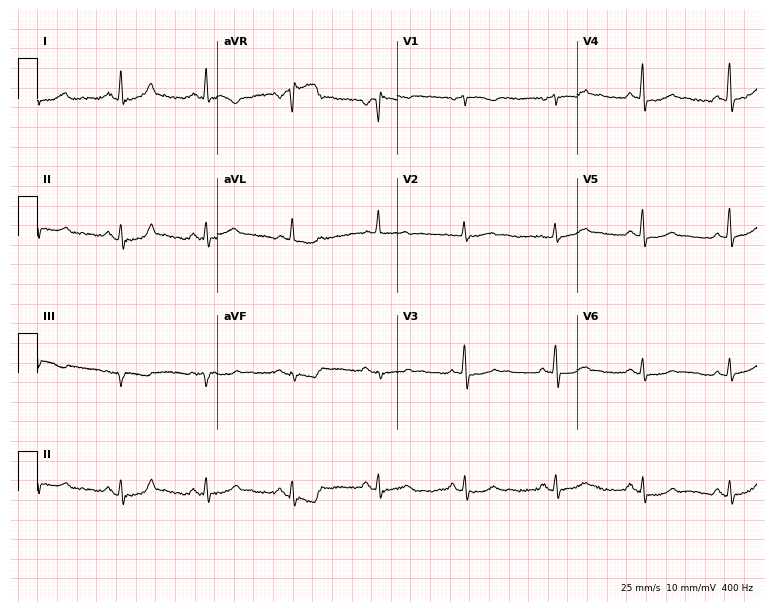
Electrocardiogram, a female patient, 64 years old. Of the six screened findings (first-degree AV block, right bundle branch block (RBBB), left bundle branch block (LBBB), sinus bradycardia, atrial fibrillation (AF), sinus tachycardia), none is recorded. Only these six findings were labelled.